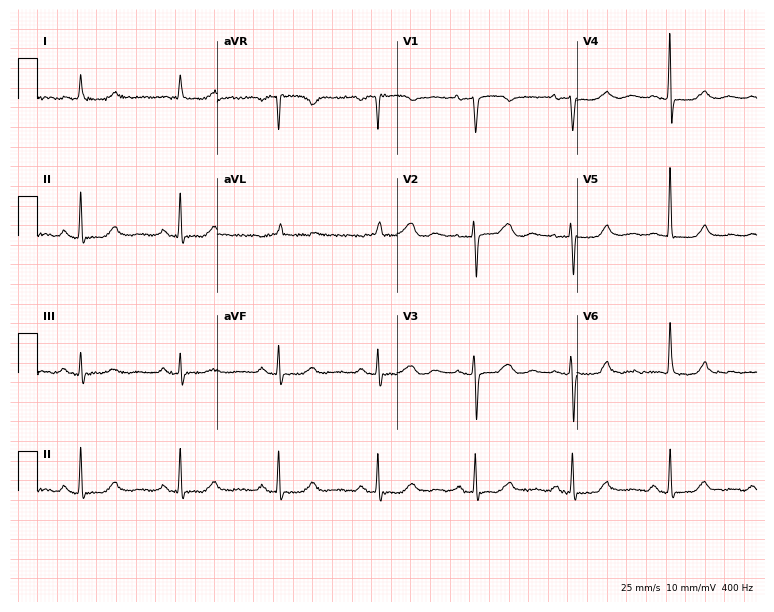
12-lead ECG from an 84-year-old female patient. Labelled as a normal ECG.